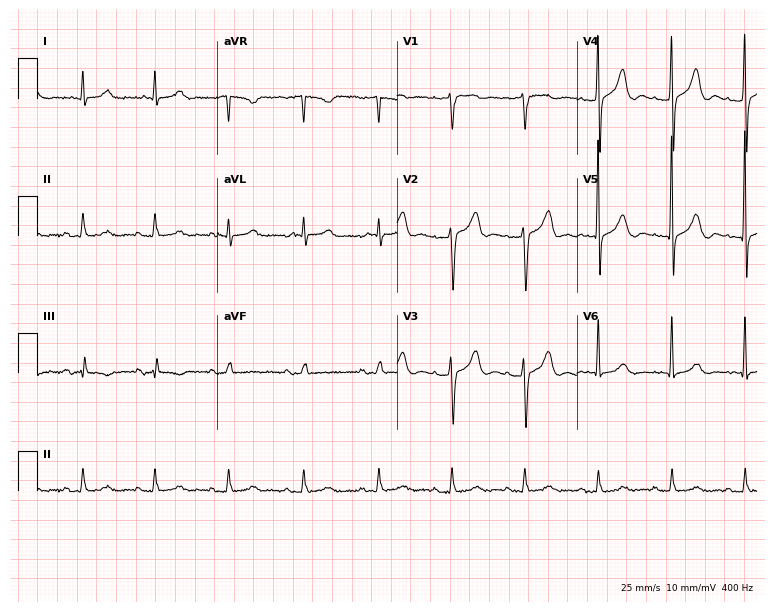
12-lead ECG from a male, 84 years old (7.3-second recording at 400 Hz). Recorded interpretation: within normal limits.